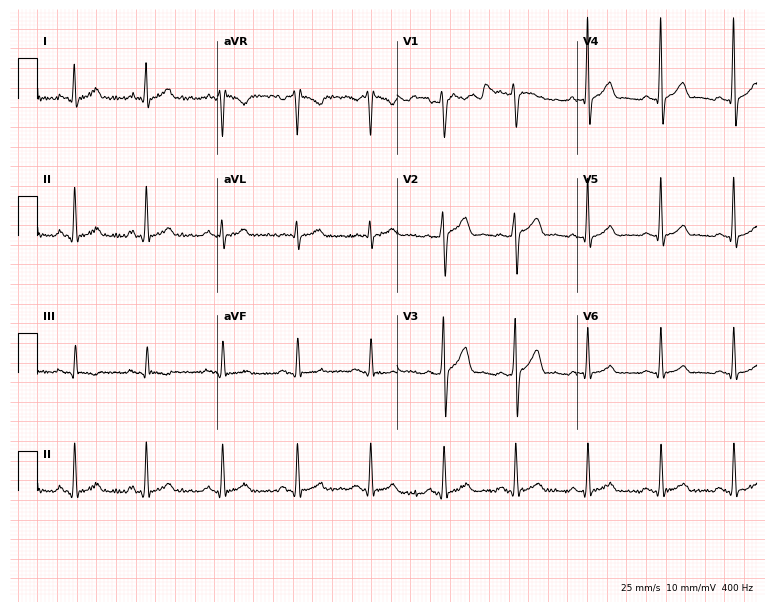
Electrocardiogram (7.3-second recording at 400 Hz), a 35-year-old man. Overall reading on record: normal ECG.